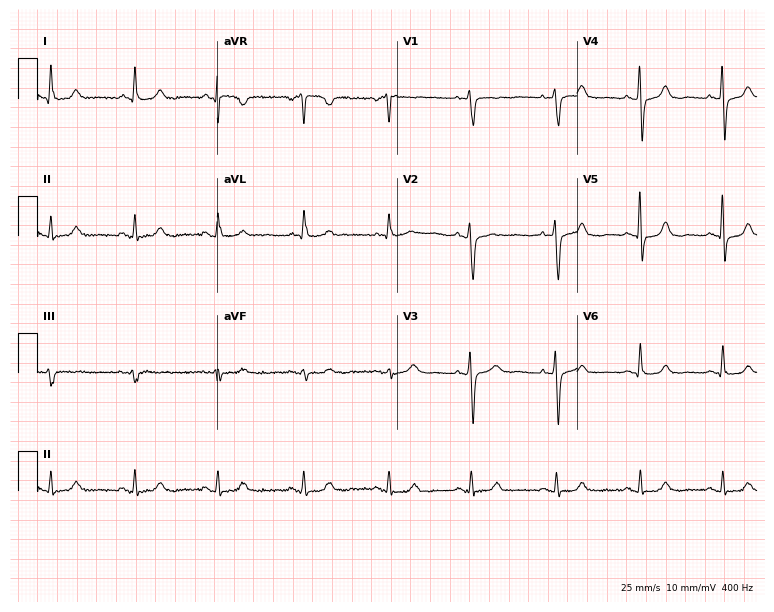
Standard 12-lead ECG recorded from a female patient, 66 years old (7.3-second recording at 400 Hz). None of these six findings is recorded: first-degree AV block, right bundle branch block, left bundle branch block, sinus bradycardia, atrial fibrillation, sinus tachycardia.